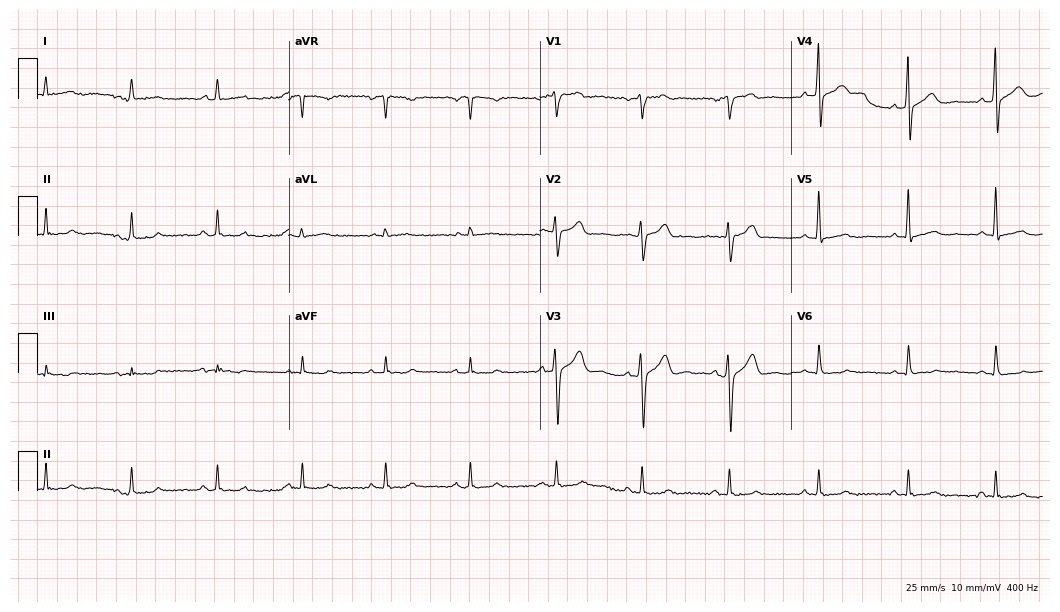
Electrocardiogram (10.2-second recording at 400 Hz), a male patient, 29 years old. Overall reading on record: normal ECG.